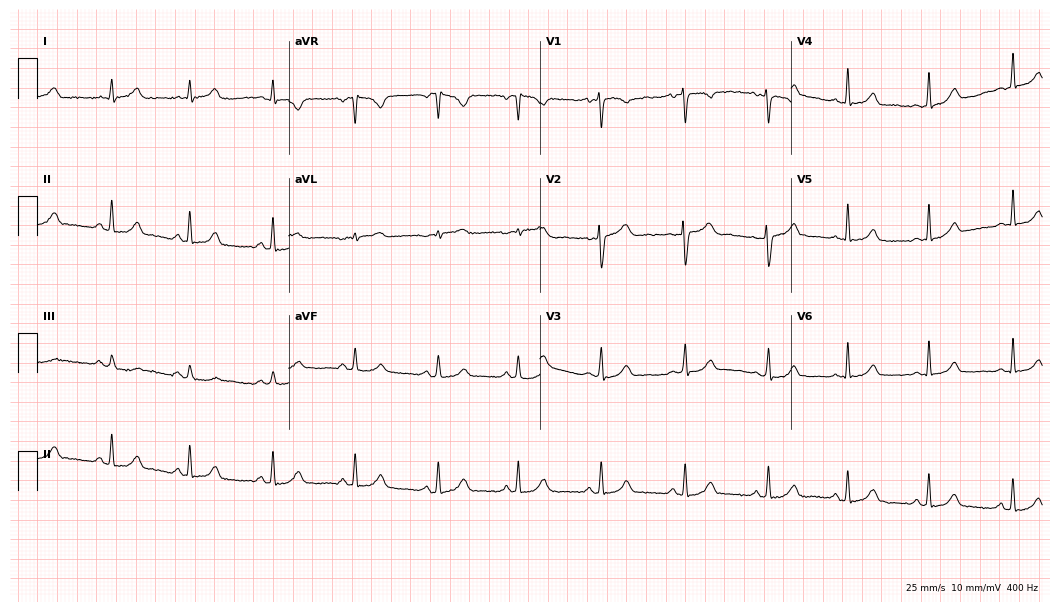
ECG — a 32-year-old woman. Screened for six findings — first-degree AV block, right bundle branch block (RBBB), left bundle branch block (LBBB), sinus bradycardia, atrial fibrillation (AF), sinus tachycardia — none is recorded. Other findings, if any, are not listed.